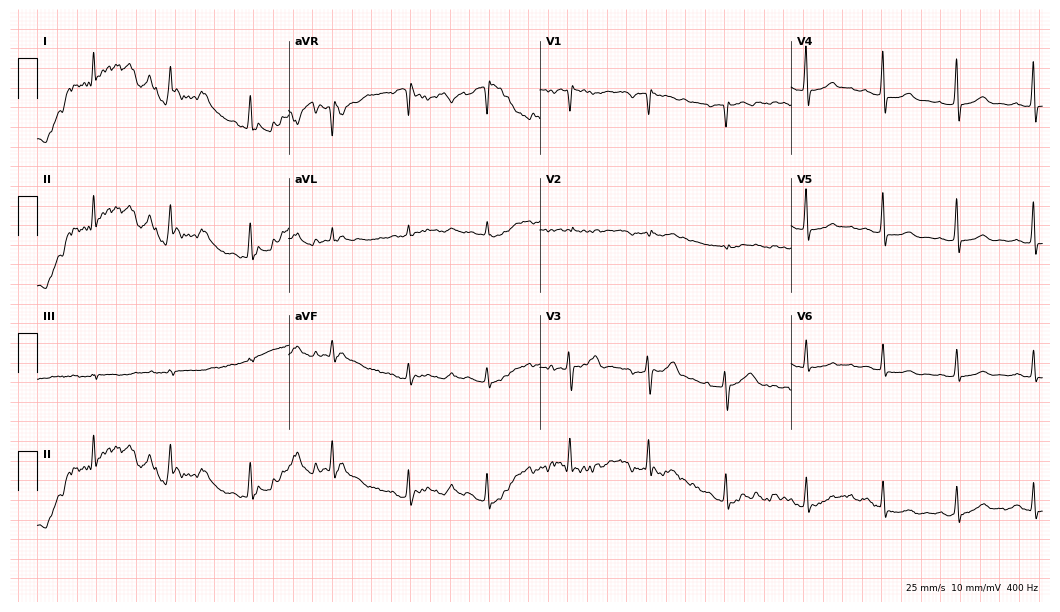
12-lead ECG (10.2-second recording at 400 Hz) from a female, 47 years old. Screened for six findings — first-degree AV block, right bundle branch block, left bundle branch block, sinus bradycardia, atrial fibrillation, sinus tachycardia — none is recorded.